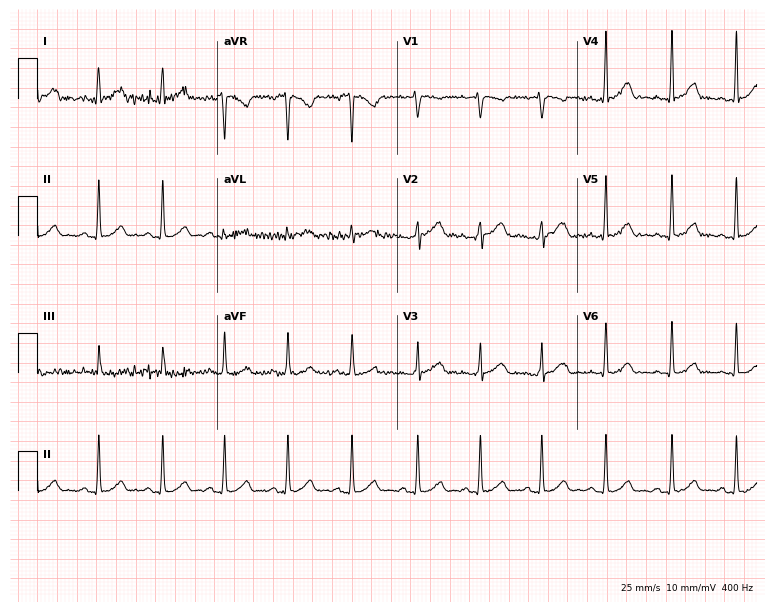
12-lead ECG from a 39-year-old female patient. Recorded interpretation: within normal limits.